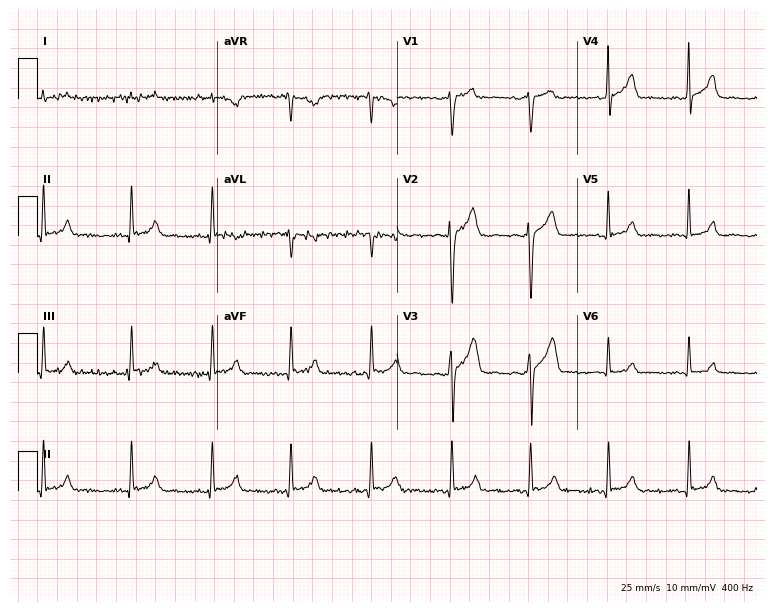
Standard 12-lead ECG recorded from a male patient, 35 years old. Read as a normal ECG.